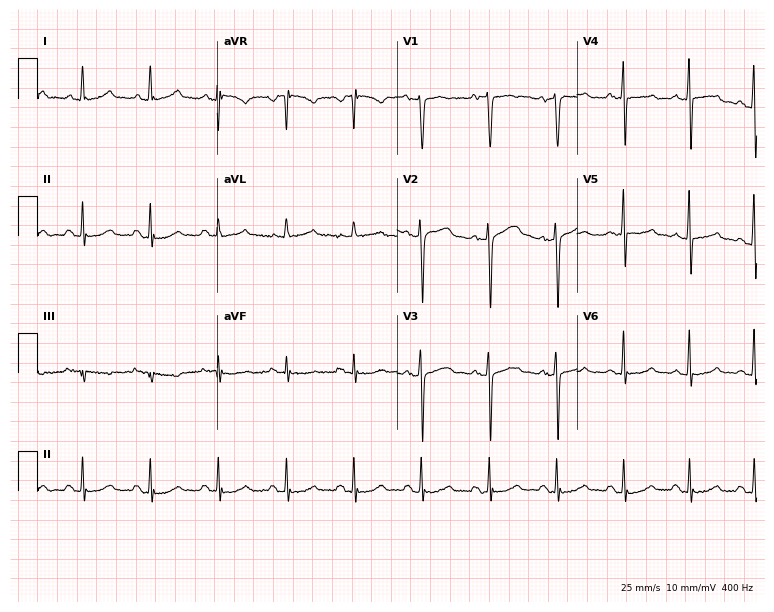
Resting 12-lead electrocardiogram (7.3-second recording at 400 Hz). Patient: a female, 48 years old. None of these six findings is recorded: first-degree AV block, right bundle branch block, left bundle branch block, sinus bradycardia, atrial fibrillation, sinus tachycardia. Only these six findings were labelled.